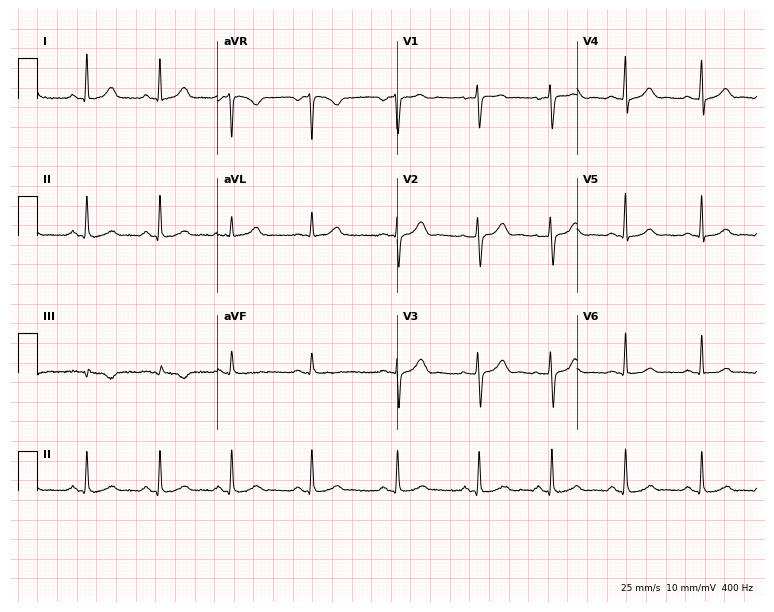
12-lead ECG from a 48-year-old female patient (7.3-second recording at 400 Hz). No first-degree AV block, right bundle branch block (RBBB), left bundle branch block (LBBB), sinus bradycardia, atrial fibrillation (AF) or sinus tachycardia recorded for this tracing.